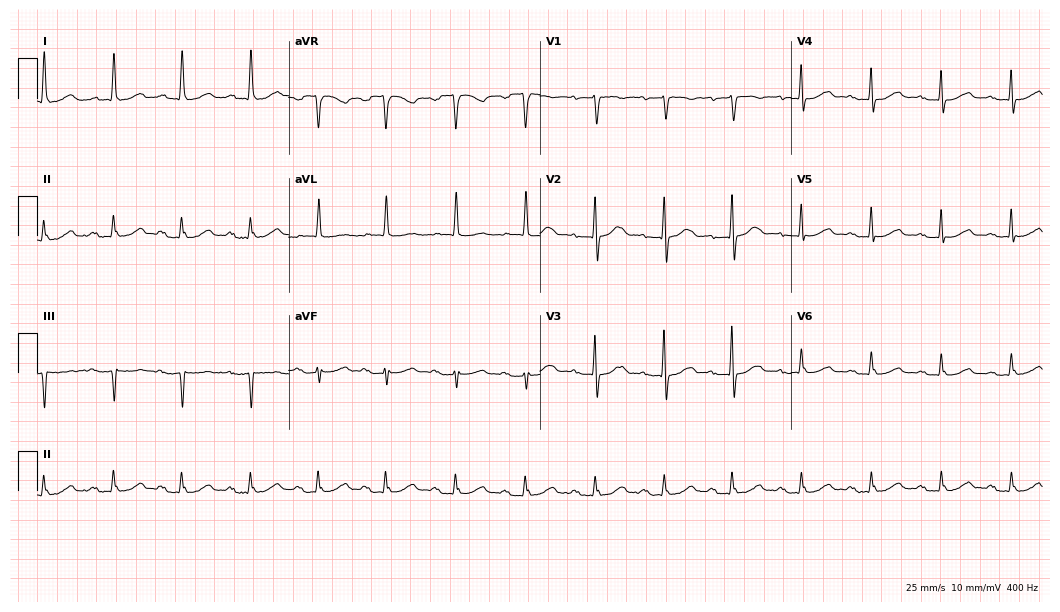
Resting 12-lead electrocardiogram (10.2-second recording at 400 Hz). Patient: an 84-year-old female. The tracing shows first-degree AV block.